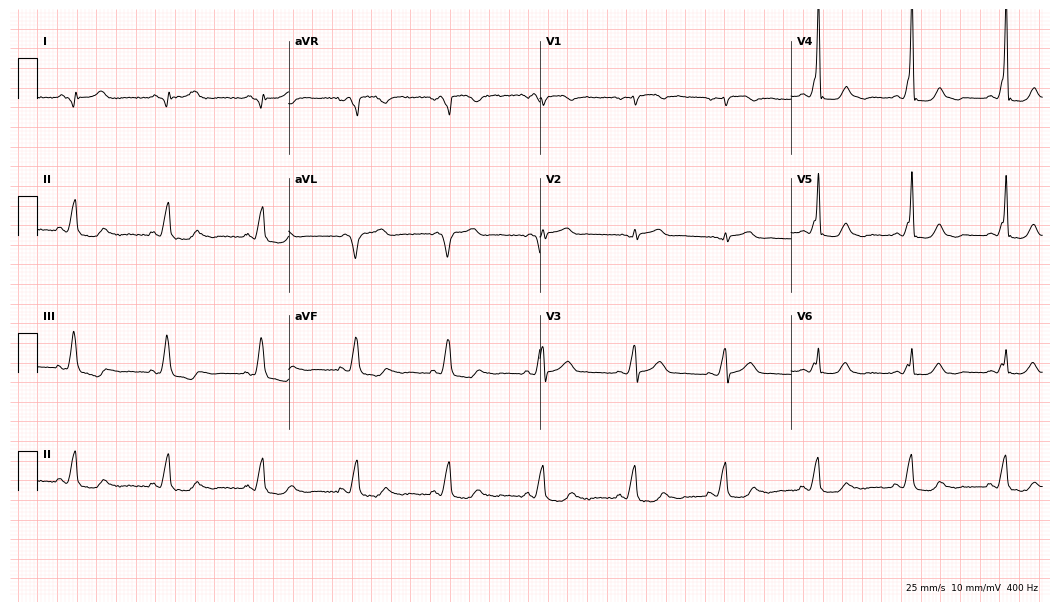
12-lead ECG (10.2-second recording at 400 Hz) from a male patient, 76 years old. Screened for six findings — first-degree AV block, right bundle branch block, left bundle branch block, sinus bradycardia, atrial fibrillation, sinus tachycardia — none is recorded.